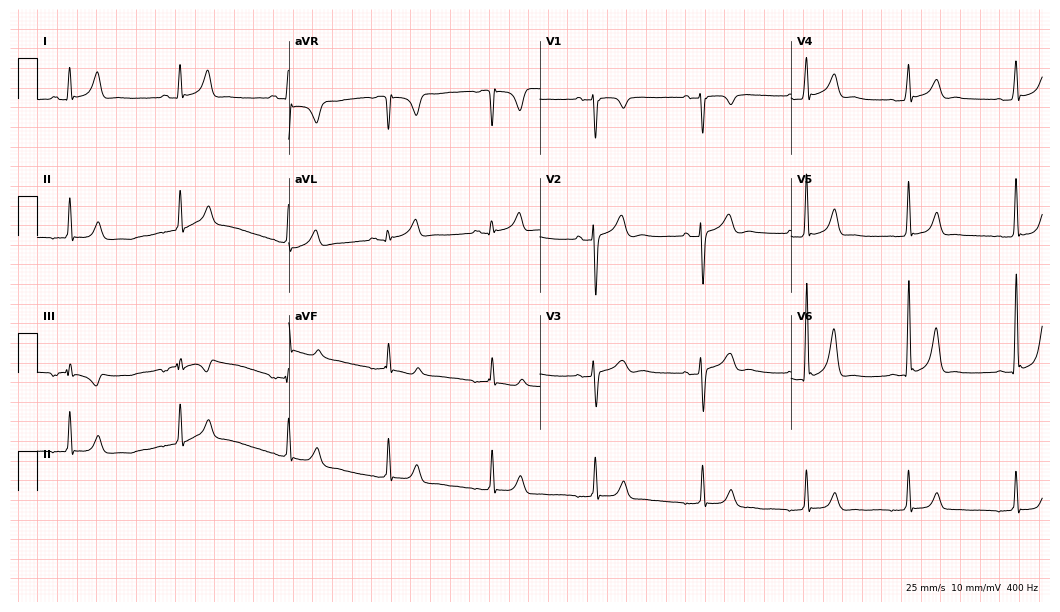
Electrocardiogram (10.2-second recording at 400 Hz), a male patient, 36 years old. Overall reading on record: normal ECG.